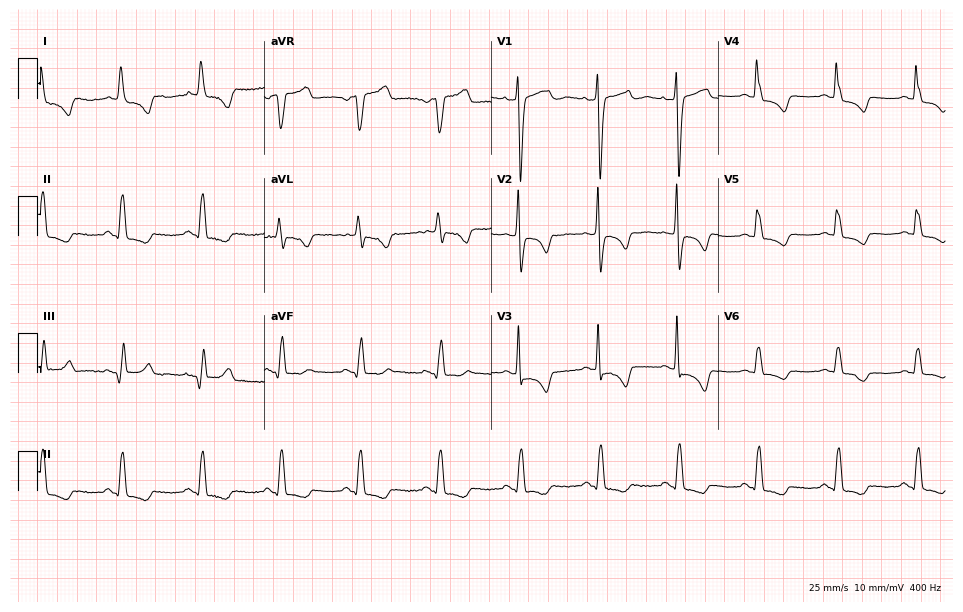
12-lead ECG (9.3-second recording at 400 Hz) from a 69-year-old woman. Screened for six findings — first-degree AV block, right bundle branch block, left bundle branch block, sinus bradycardia, atrial fibrillation, sinus tachycardia — none is recorded.